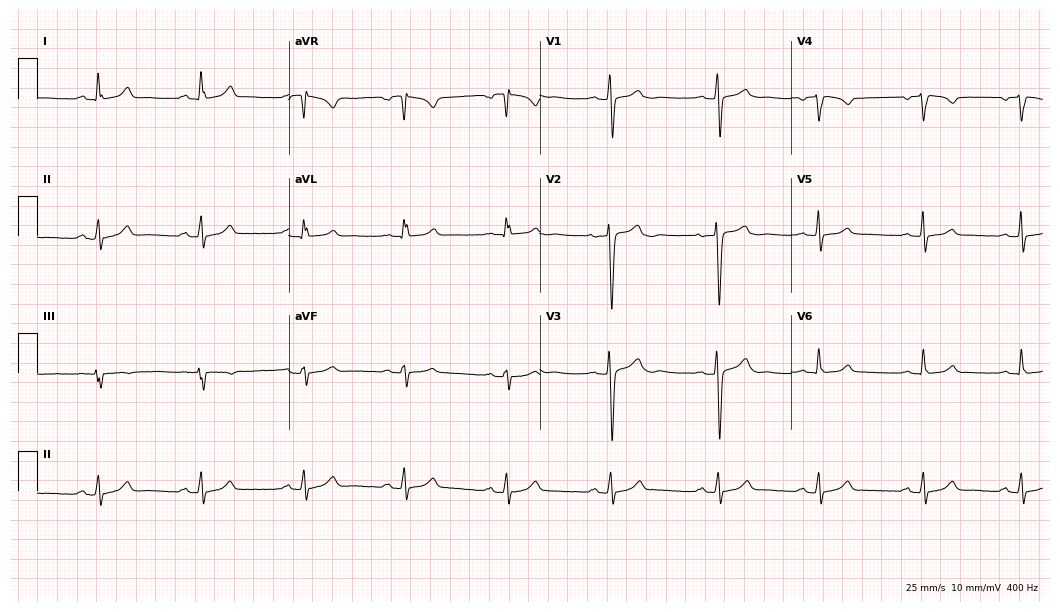
Standard 12-lead ECG recorded from a 21-year-old female patient (10.2-second recording at 400 Hz). None of these six findings is recorded: first-degree AV block, right bundle branch block, left bundle branch block, sinus bradycardia, atrial fibrillation, sinus tachycardia.